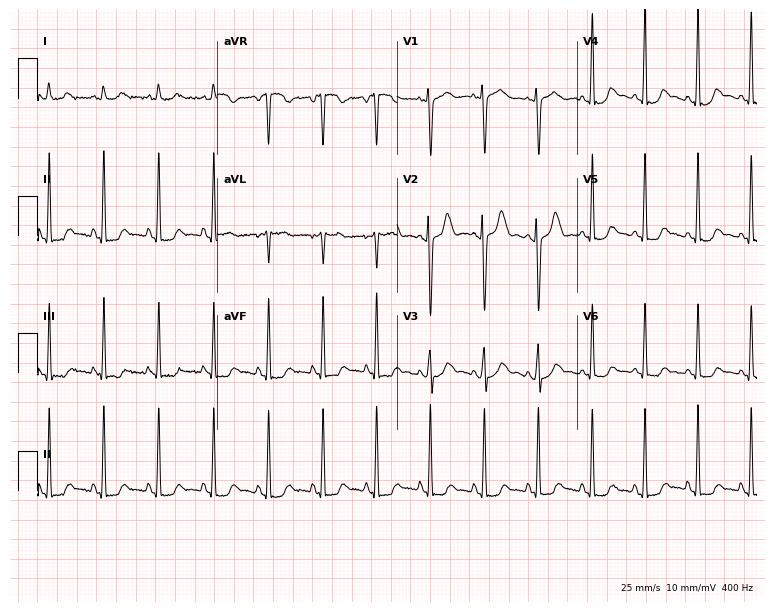
12-lead ECG from a 35-year-old woman. No first-degree AV block, right bundle branch block (RBBB), left bundle branch block (LBBB), sinus bradycardia, atrial fibrillation (AF) or sinus tachycardia recorded for this tracing. Only these six findings were labelled.